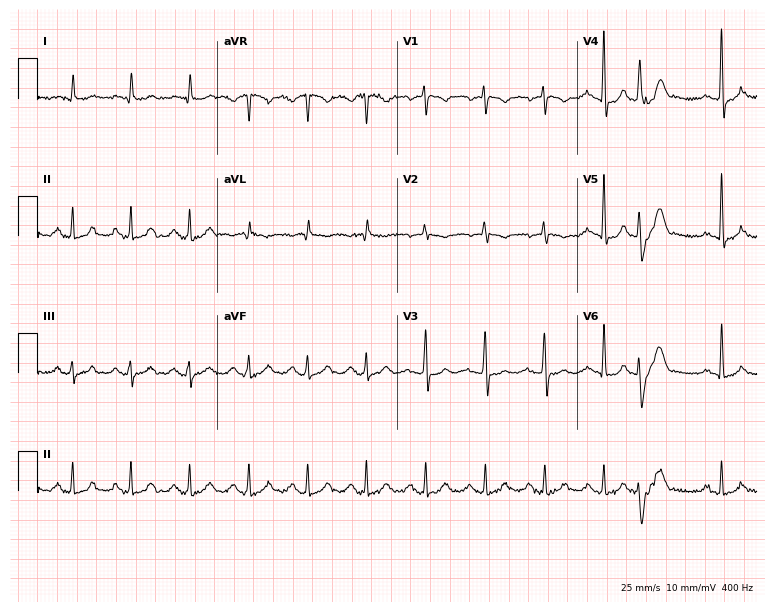
Resting 12-lead electrocardiogram (7.3-second recording at 400 Hz). Patient: an 83-year-old man. None of these six findings is recorded: first-degree AV block, right bundle branch block, left bundle branch block, sinus bradycardia, atrial fibrillation, sinus tachycardia. Only these six findings were labelled.